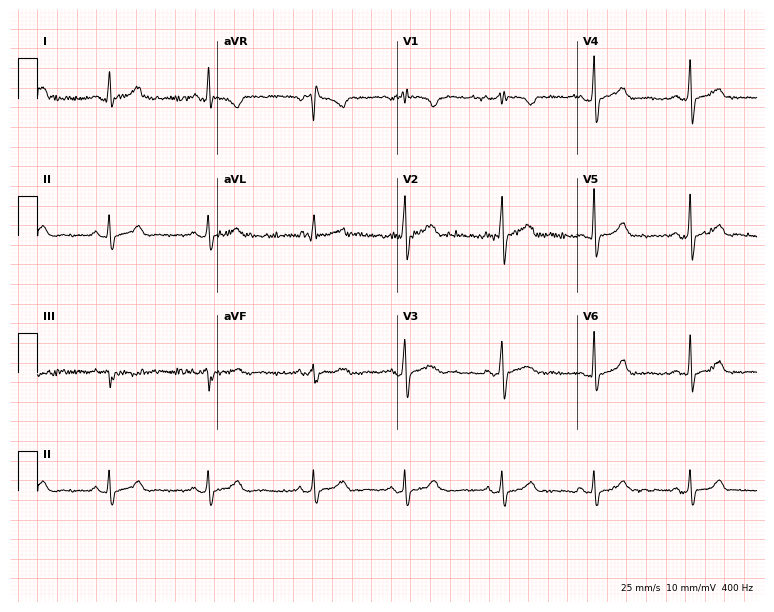
Standard 12-lead ECG recorded from a 43-year-old female (7.3-second recording at 400 Hz). None of these six findings is recorded: first-degree AV block, right bundle branch block, left bundle branch block, sinus bradycardia, atrial fibrillation, sinus tachycardia.